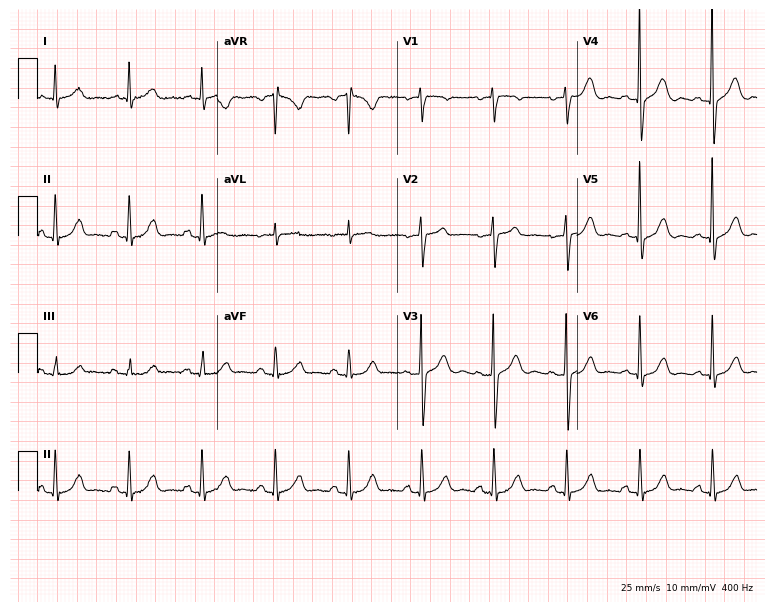
Electrocardiogram (7.3-second recording at 400 Hz), a woman, 59 years old. Overall reading on record: normal ECG.